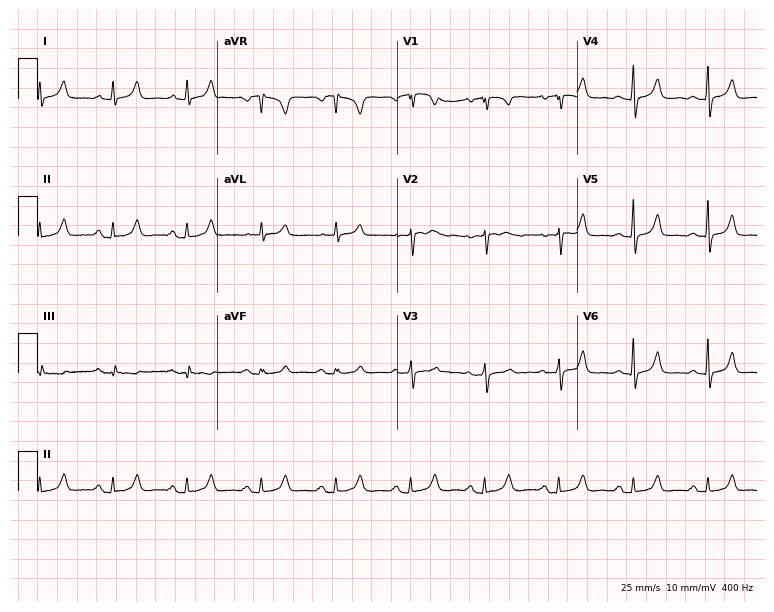
ECG — a woman, 78 years old. Labelled as a normal ECG.